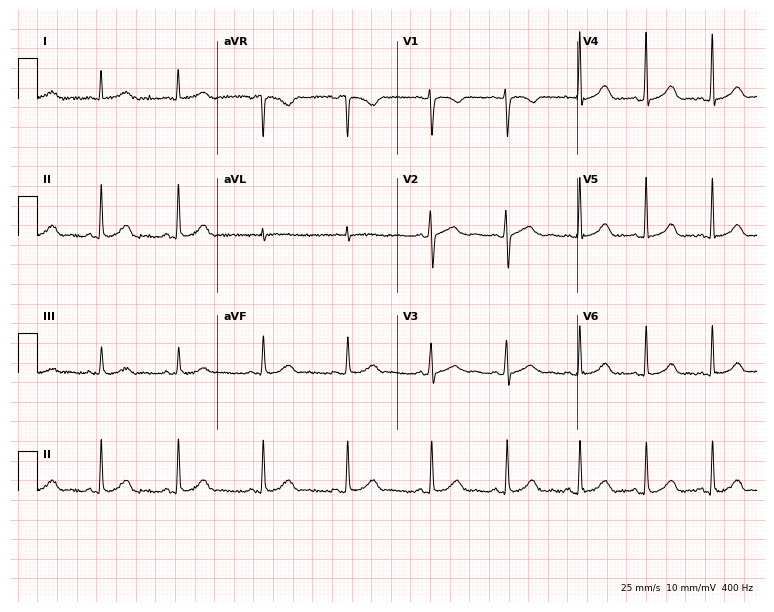
Standard 12-lead ECG recorded from a woman, 40 years old. Read as a normal ECG.